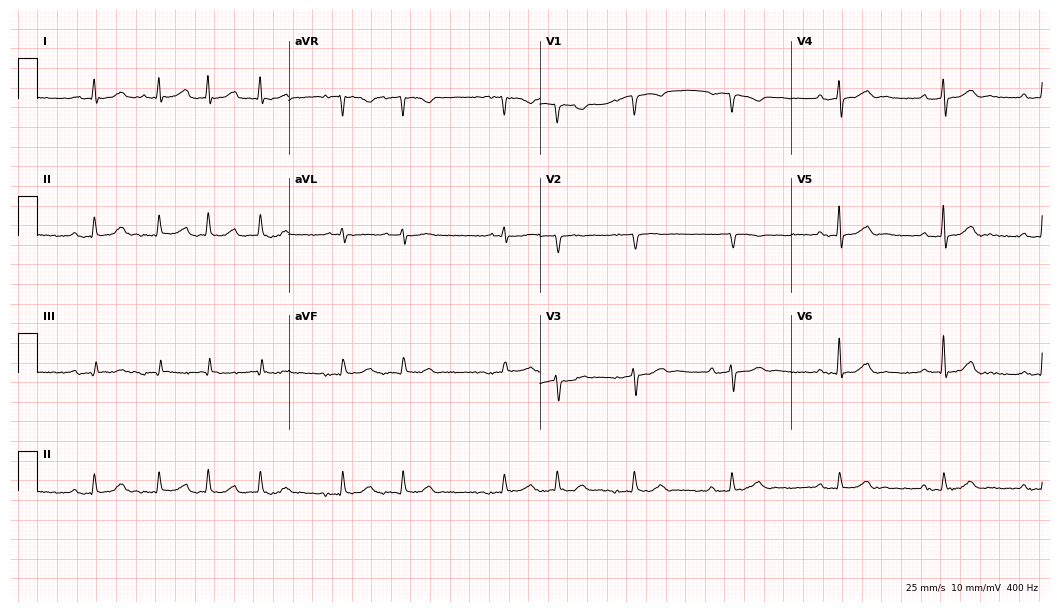
ECG (10.2-second recording at 400 Hz) — a 79-year-old male patient. Screened for six findings — first-degree AV block, right bundle branch block, left bundle branch block, sinus bradycardia, atrial fibrillation, sinus tachycardia — none is recorded.